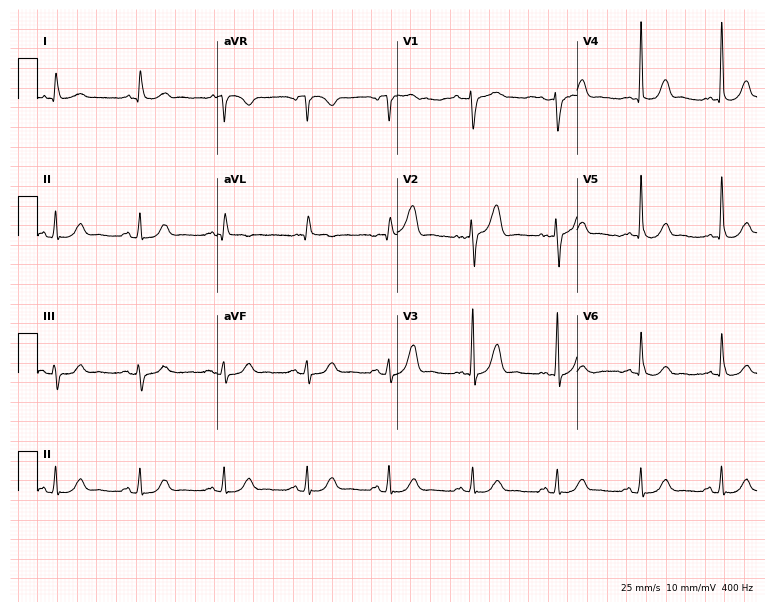
Resting 12-lead electrocardiogram (7.3-second recording at 400 Hz). Patient: a 70-year-old male. None of these six findings is recorded: first-degree AV block, right bundle branch block (RBBB), left bundle branch block (LBBB), sinus bradycardia, atrial fibrillation (AF), sinus tachycardia. Findings outside these six are not listed.